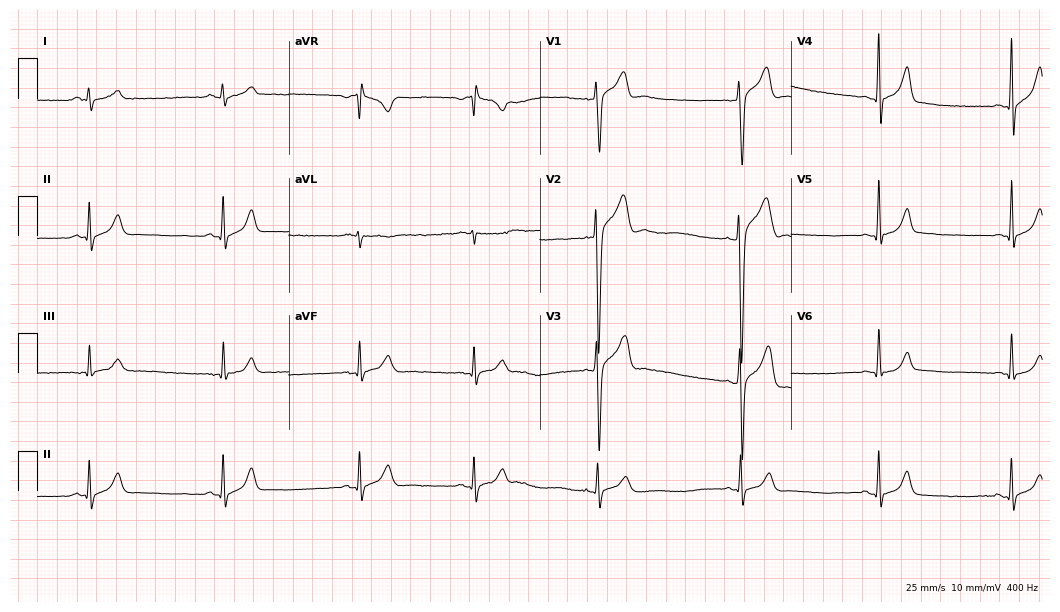
Electrocardiogram (10.2-second recording at 400 Hz), a 22-year-old male patient. Of the six screened findings (first-degree AV block, right bundle branch block (RBBB), left bundle branch block (LBBB), sinus bradycardia, atrial fibrillation (AF), sinus tachycardia), none is recorded. Findings outside these six are not listed.